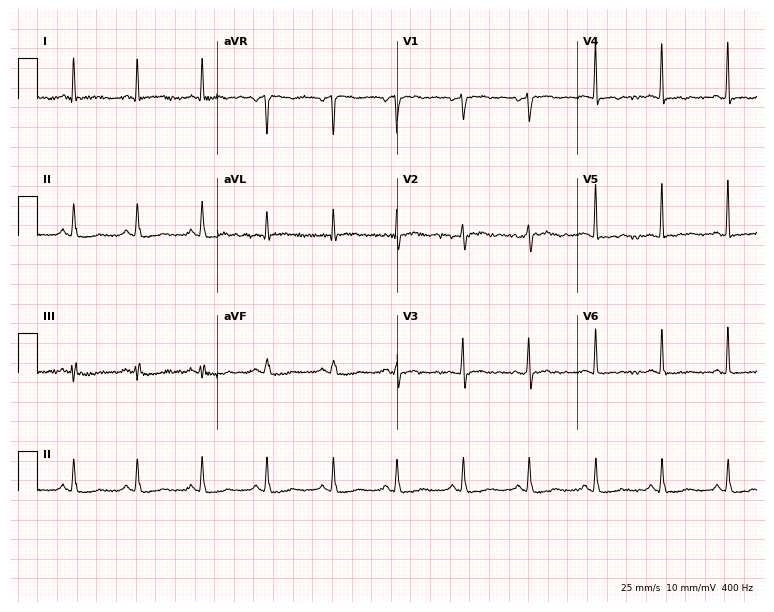
Resting 12-lead electrocardiogram (7.3-second recording at 400 Hz). Patient: a female, 45 years old. None of these six findings is recorded: first-degree AV block, right bundle branch block, left bundle branch block, sinus bradycardia, atrial fibrillation, sinus tachycardia.